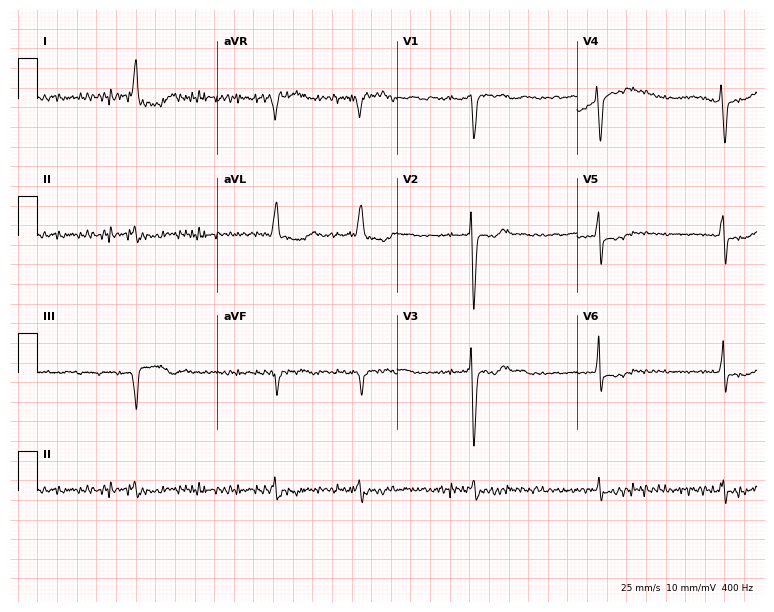
ECG (7.3-second recording at 400 Hz) — a 26-year-old female patient. Screened for six findings — first-degree AV block, right bundle branch block (RBBB), left bundle branch block (LBBB), sinus bradycardia, atrial fibrillation (AF), sinus tachycardia — none is recorded. Other findings, if any, are not listed.